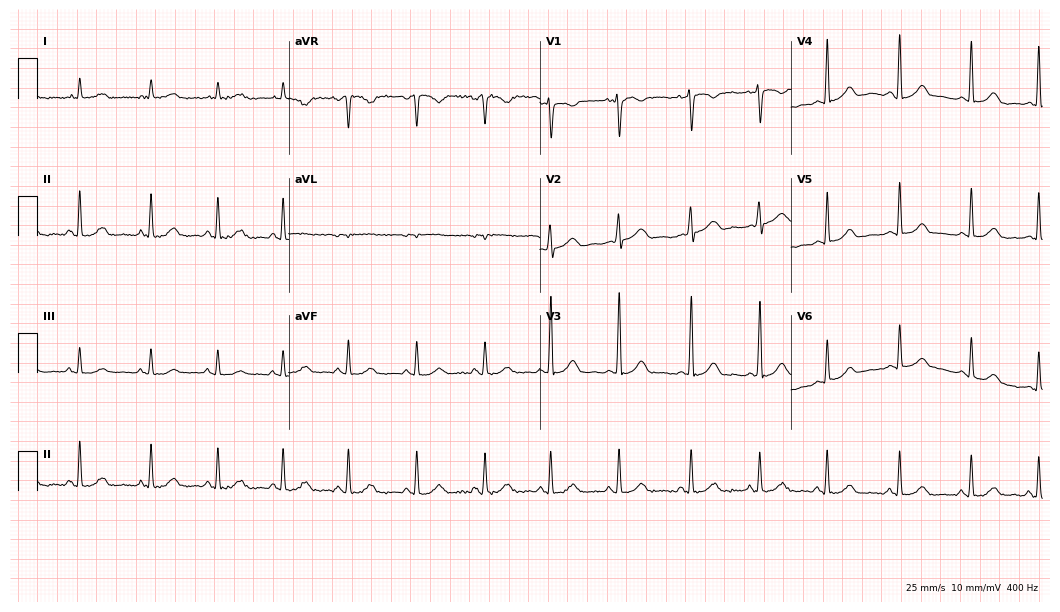
Electrocardiogram (10.2-second recording at 400 Hz), a female patient, 40 years old. Overall reading on record: normal ECG.